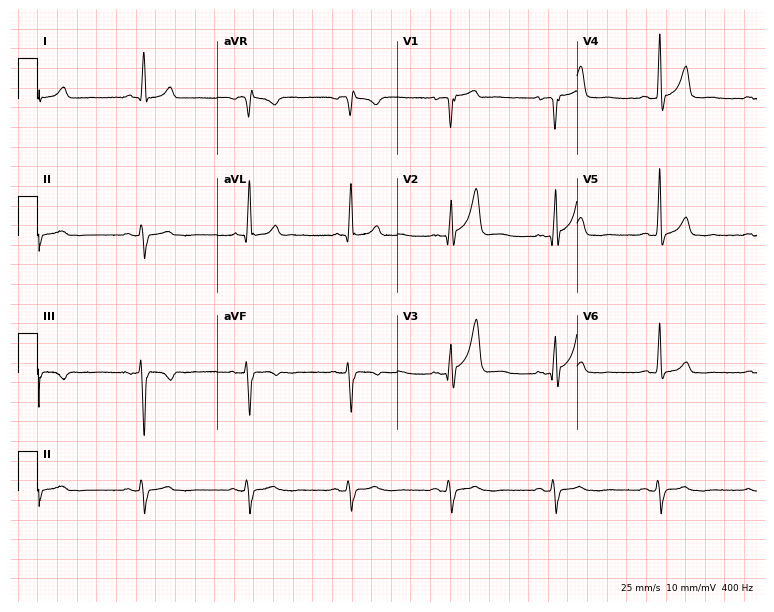
Resting 12-lead electrocardiogram (7.3-second recording at 400 Hz). Patient: a male, 70 years old. None of these six findings is recorded: first-degree AV block, right bundle branch block, left bundle branch block, sinus bradycardia, atrial fibrillation, sinus tachycardia.